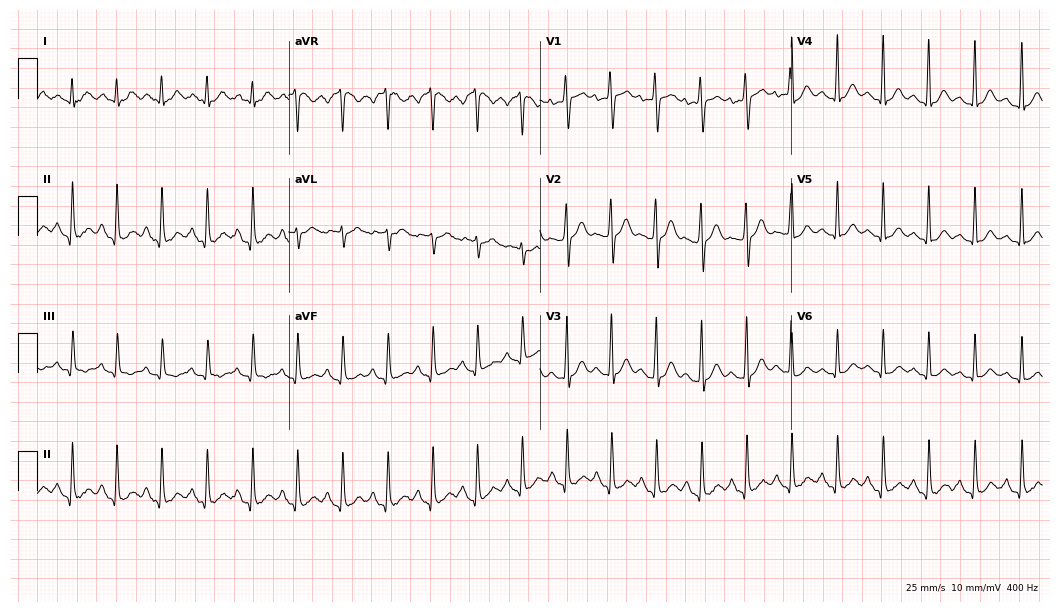
Standard 12-lead ECG recorded from a 19-year-old male patient. The tracing shows sinus tachycardia (a sinus rate of 100 beats per minute or more).